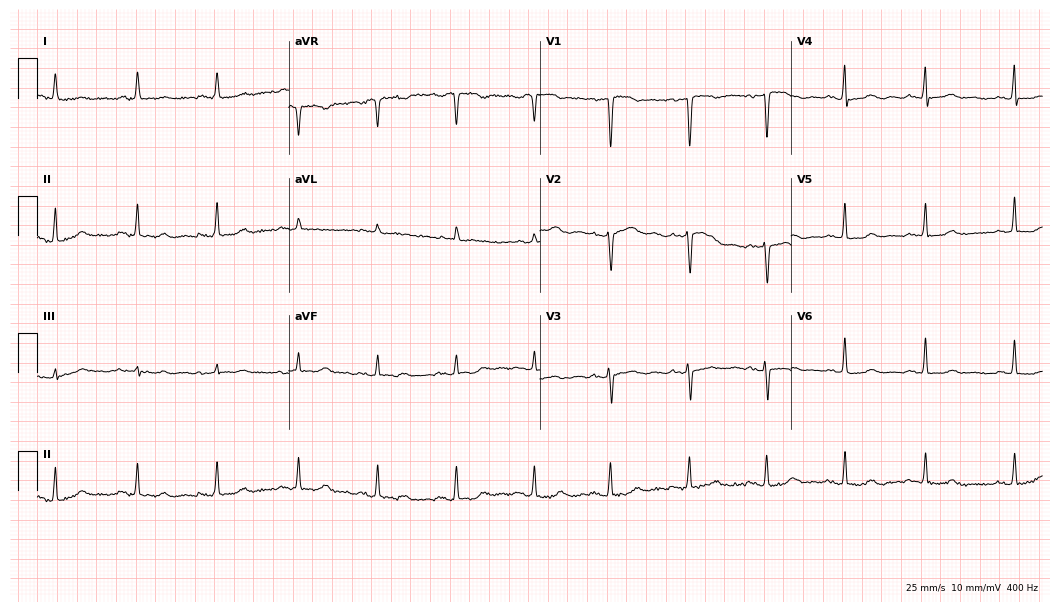
Electrocardiogram (10.2-second recording at 400 Hz), a 70-year-old female. Of the six screened findings (first-degree AV block, right bundle branch block, left bundle branch block, sinus bradycardia, atrial fibrillation, sinus tachycardia), none is recorded.